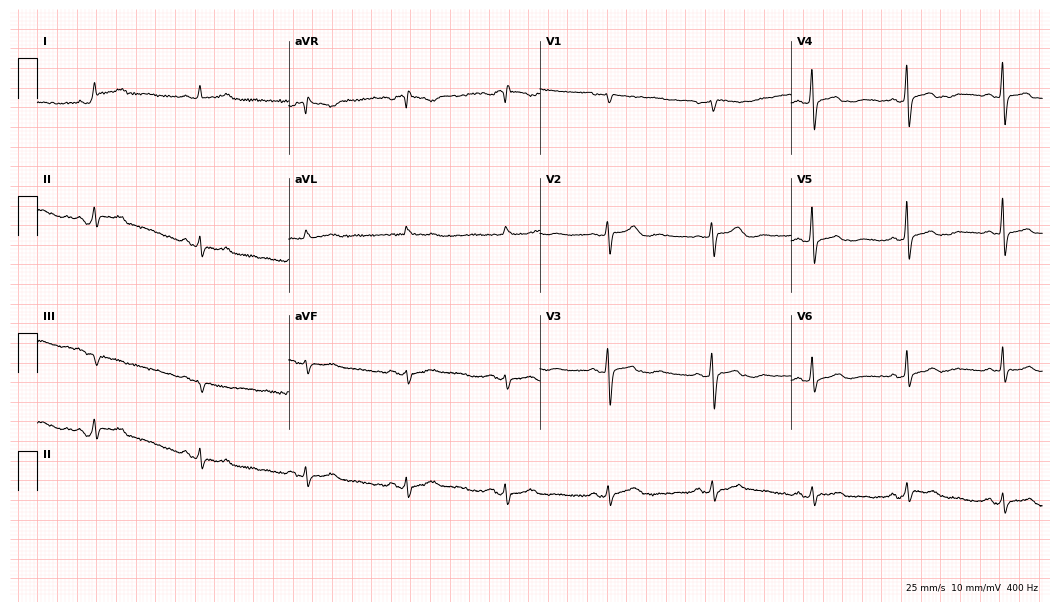
Electrocardiogram, a 54-year-old woman. Of the six screened findings (first-degree AV block, right bundle branch block, left bundle branch block, sinus bradycardia, atrial fibrillation, sinus tachycardia), none is recorded.